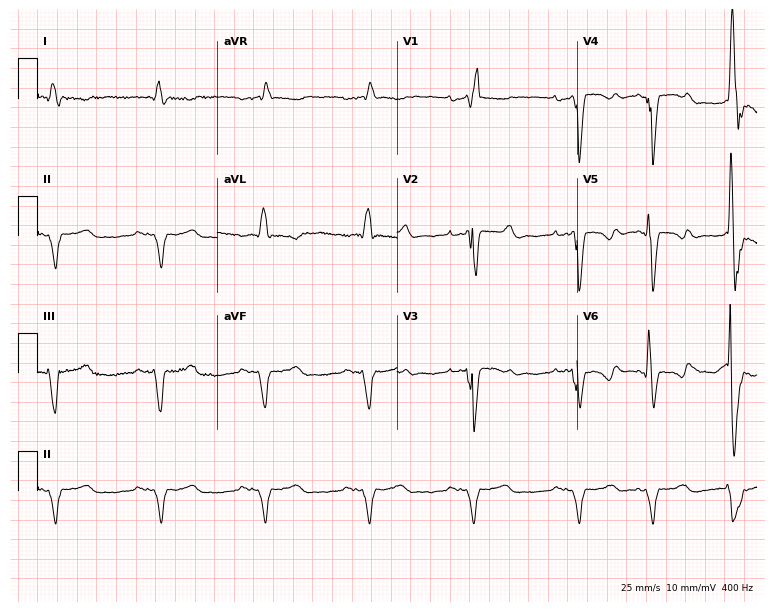
ECG (7.3-second recording at 400 Hz) — a male patient, 78 years old. Findings include right bundle branch block.